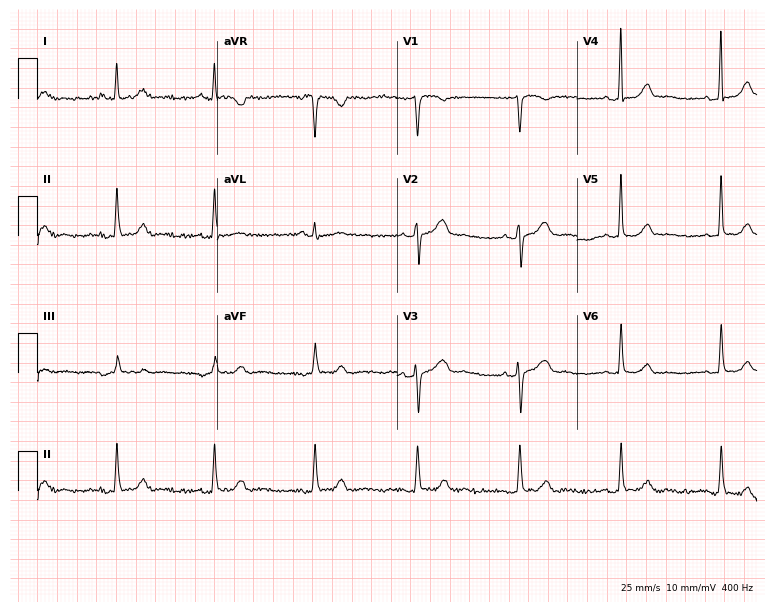
Resting 12-lead electrocardiogram (7.3-second recording at 400 Hz). Patient: a 56-year-old woman. Read as a normal ECG.